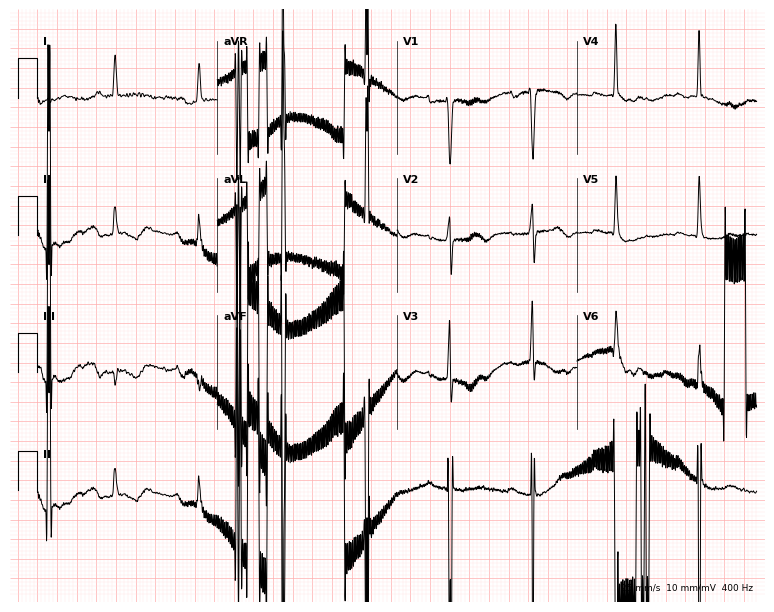
Standard 12-lead ECG recorded from an 81-year-old female patient (7.3-second recording at 400 Hz). None of these six findings is recorded: first-degree AV block, right bundle branch block, left bundle branch block, sinus bradycardia, atrial fibrillation, sinus tachycardia. Findings outside these six are not listed.